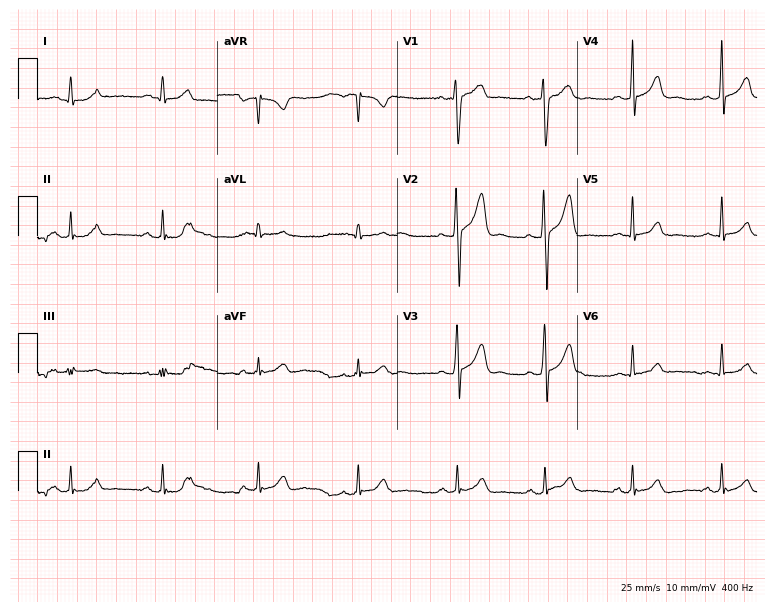
12-lead ECG from a 20-year-old male (7.3-second recording at 400 Hz). Recorded interpretation: within normal limits.